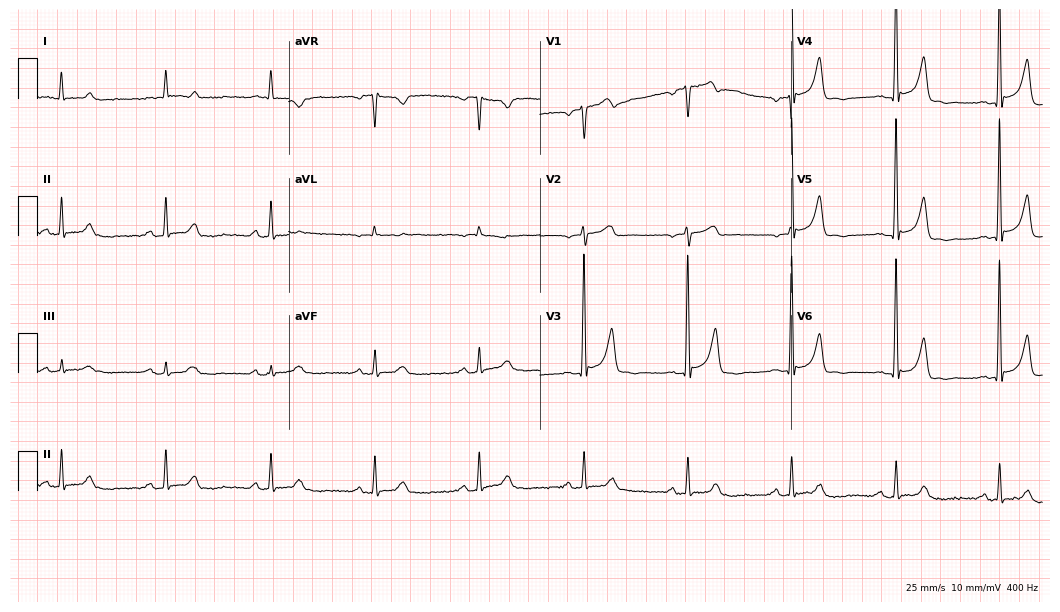
12-lead ECG from a 72-year-old male patient. Screened for six findings — first-degree AV block, right bundle branch block, left bundle branch block, sinus bradycardia, atrial fibrillation, sinus tachycardia — none is recorded.